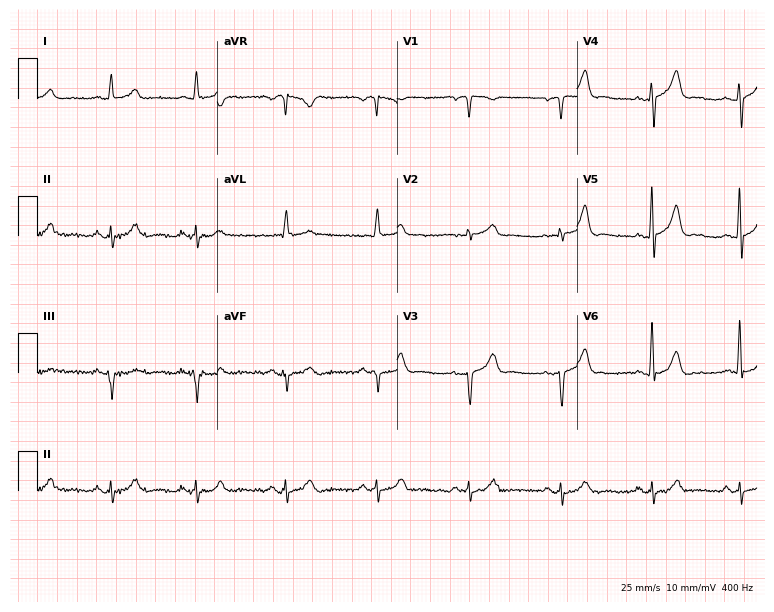
12-lead ECG from a 68-year-old man. Screened for six findings — first-degree AV block, right bundle branch block, left bundle branch block, sinus bradycardia, atrial fibrillation, sinus tachycardia — none is recorded. Only these six findings were labelled.